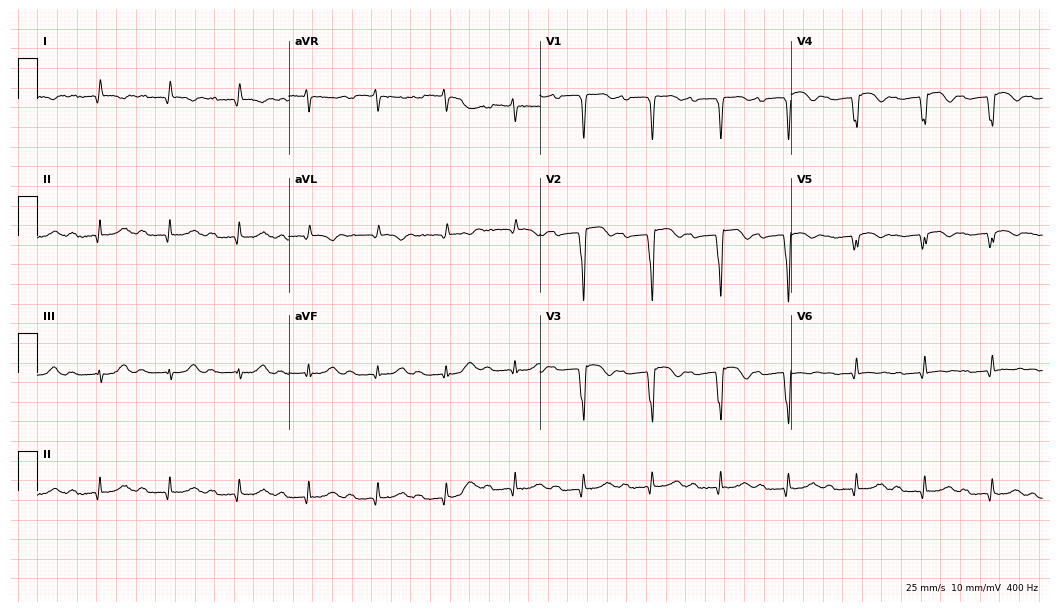
ECG (10.2-second recording at 400 Hz) — a man, 87 years old. Findings include first-degree AV block.